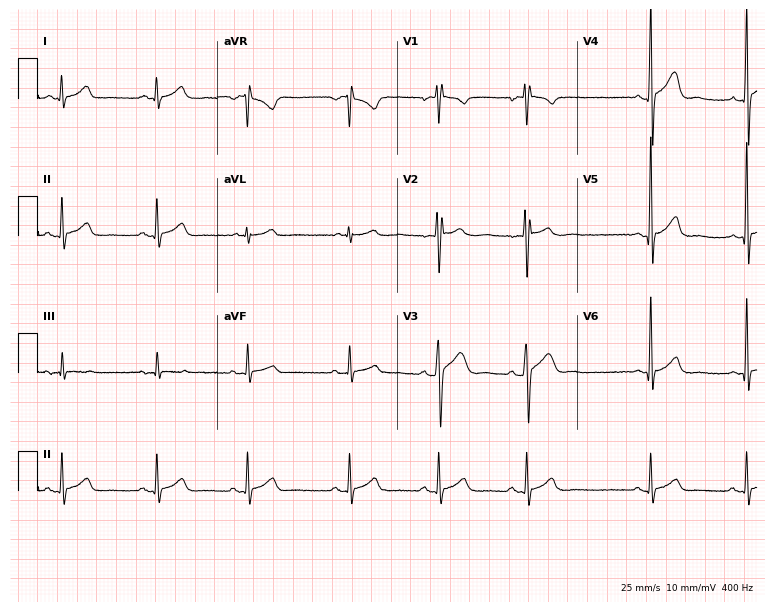
Electrocardiogram (7.3-second recording at 400 Hz), a 20-year-old male patient. Of the six screened findings (first-degree AV block, right bundle branch block (RBBB), left bundle branch block (LBBB), sinus bradycardia, atrial fibrillation (AF), sinus tachycardia), none is recorded.